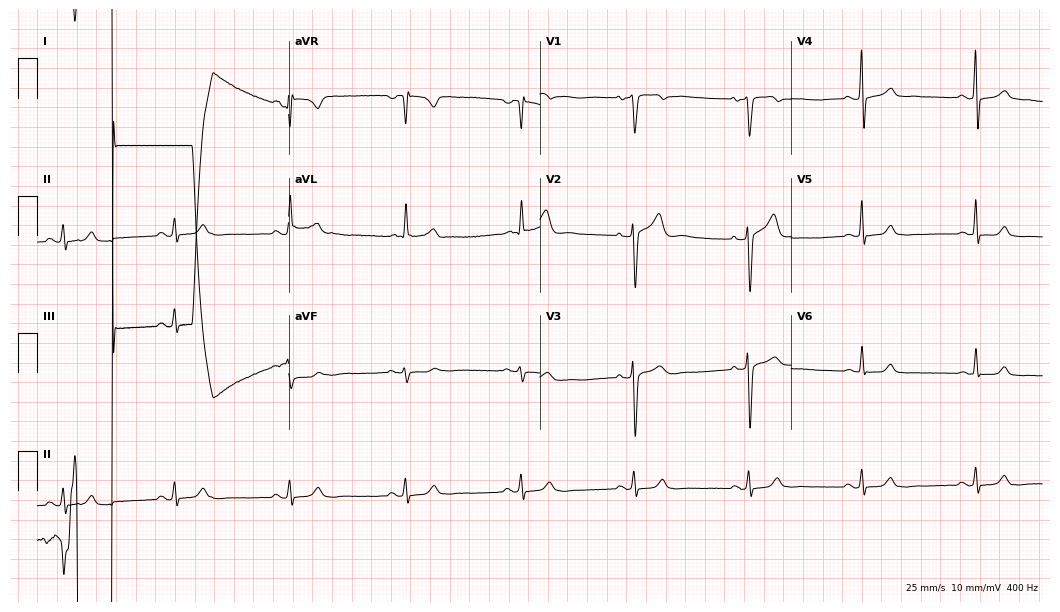
Standard 12-lead ECG recorded from a 47-year-old man (10.2-second recording at 400 Hz). None of these six findings is recorded: first-degree AV block, right bundle branch block, left bundle branch block, sinus bradycardia, atrial fibrillation, sinus tachycardia. Other findings, if any, are not listed.